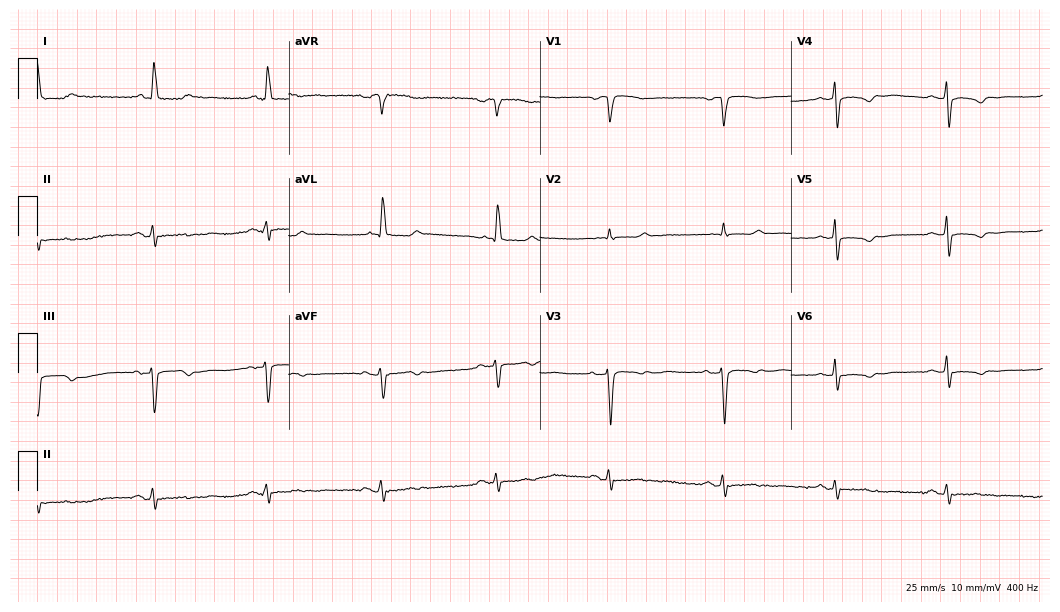
Standard 12-lead ECG recorded from a woman, 61 years old (10.2-second recording at 400 Hz). None of these six findings is recorded: first-degree AV block, right bundle branch block, left bundle branch block, sinus bradycardia, atrial fibrillation, sinus tachycardia. Findings outside these six are not listed.